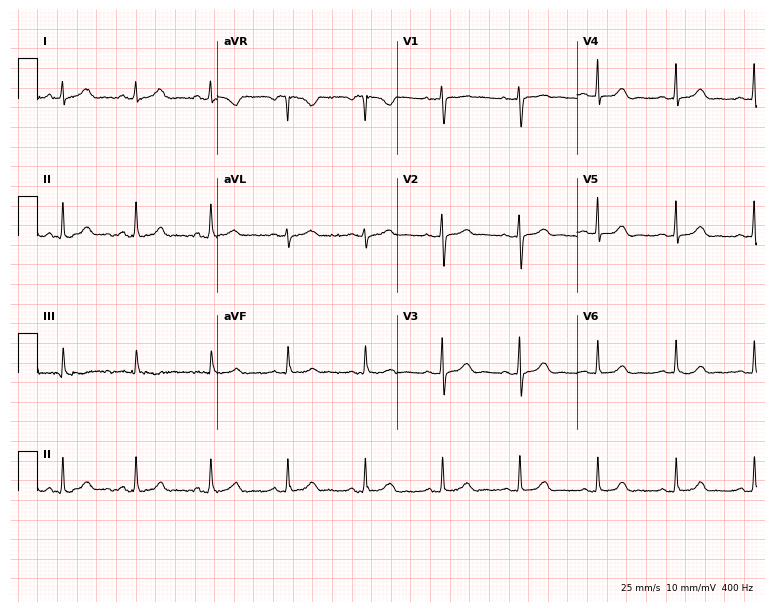
12-lead ECG from a woman, 45 years old (7.3-second recording at 400 Hz). Recorded interpretation: within normal limits.